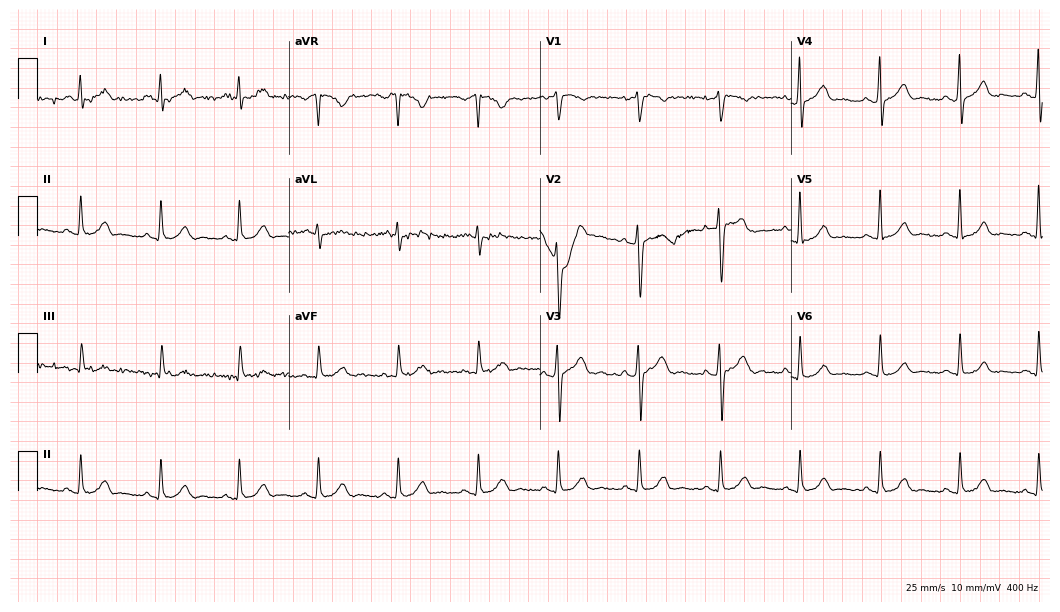
Standard 12-lead ECG recorded from a male, 50 years old. Read as a normal ECG.